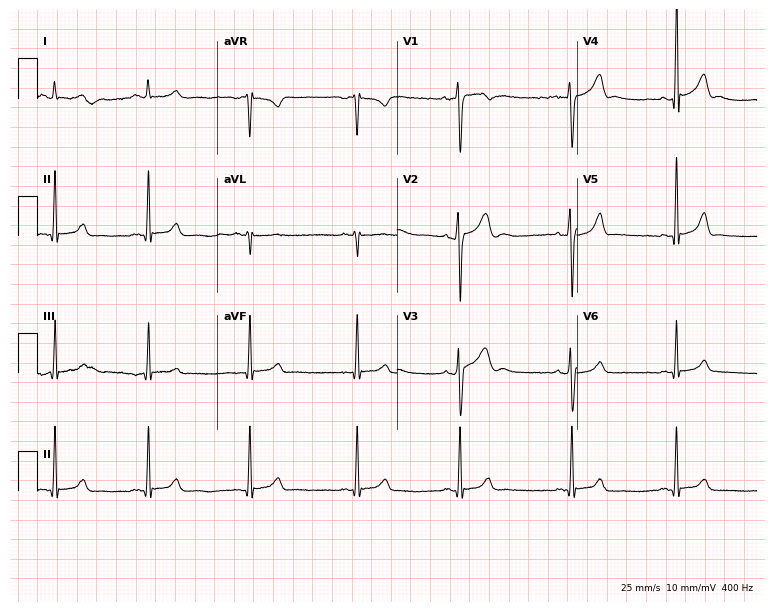
12-lead ECG from a 23-year-old male (7.3-second recording at 400 Hz). No first-degree AV block, right bundle branch block (RBBB), left bundle branch block (LBBB), sinus bradycardia, atrial fibrillation (AF) or sinus tachycardia recorded for this tracing.